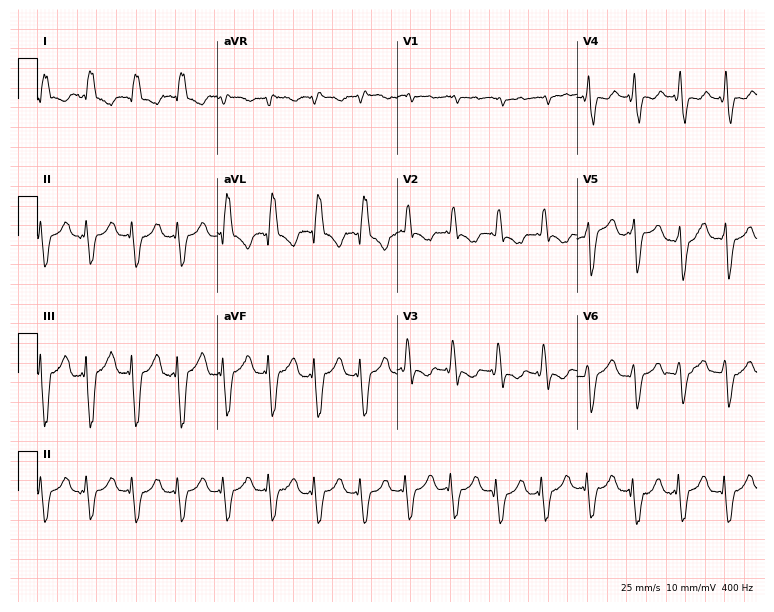
12-lead ECG from a woman, 44 years old (7.3-second recording at 400 Hz). Shows right bundle branch block (RBBB), atrial fibrillation (AF).